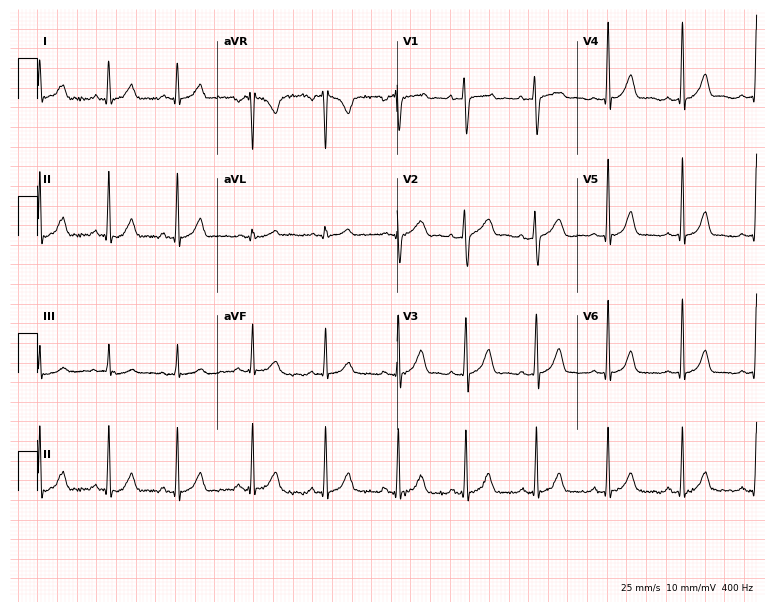
12-lead ECG from a female, 32 years old. Labelled as a normal ECG.